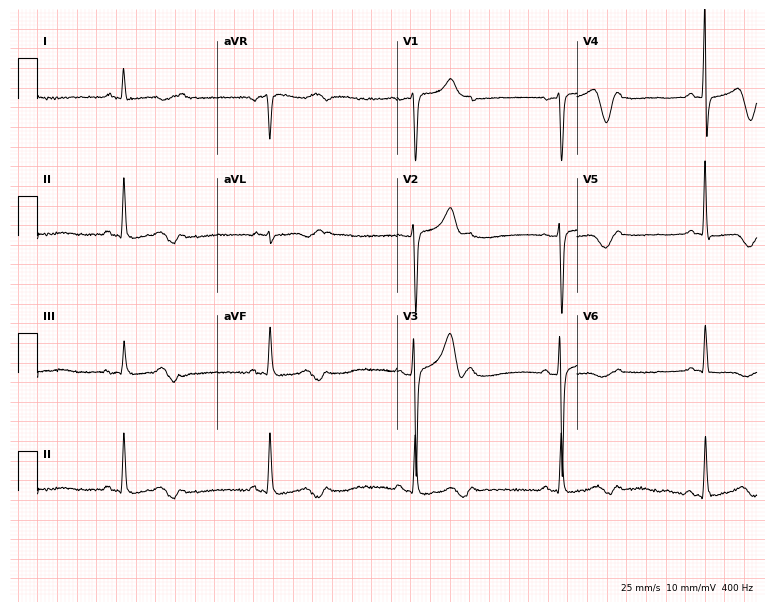
ECG — a 60-year-old male. Findings include first-degree AV block, right bundle branch block (RBBB), sinus bradycardia (a sinus rate of 50 beats per minute or less).